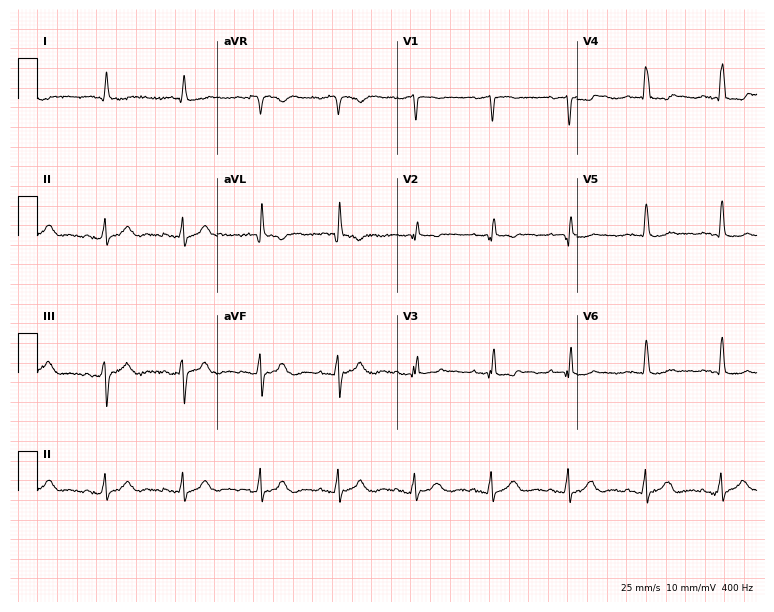
12-lead ECG from an 84-year-old male (7.3-second recording at 400 Hz). No first-degree AV block, right bundle branch block (RBBB), left bundle branch block (LBBB), sinus bradycardia, atrial fibrillation (AF) or sinus tachycardia recorded for this tracing.